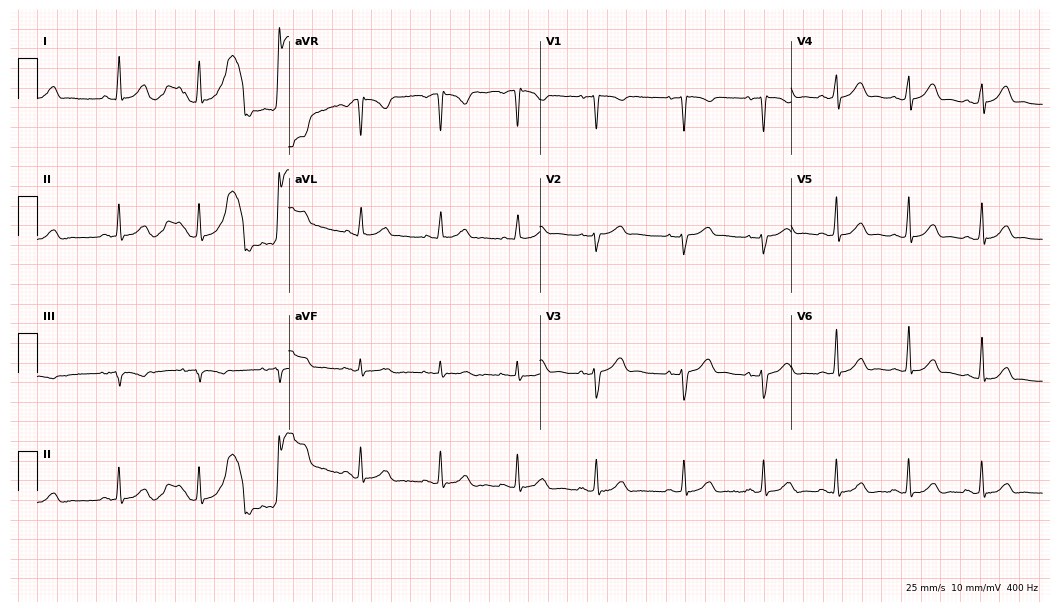
12-lead ECG from a female, 29 years old. Labelled as a normal ECG.